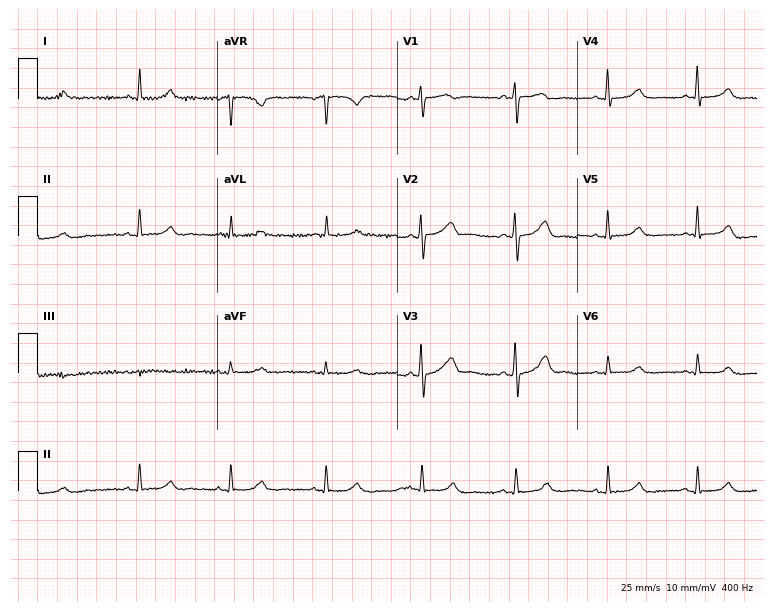
12-lead ECG from a female patient, 68 years old. Screened for six findings — first-degree AV block, right bundle branch block, left bundle branch block, sinus bradycardia, atrial fibrillation, sinus tachycardia — none is recorded. Findings outside these six are not listed.